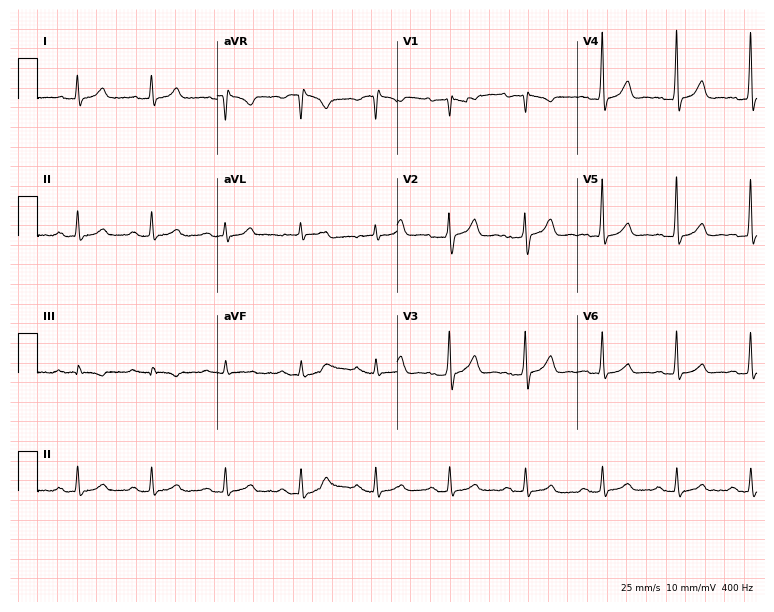
Resting 12-lead electrocardiogram (7.3-second recording at 400 Hz). Patient: a 54-year-old man. The tracing shows first-degree AV block.